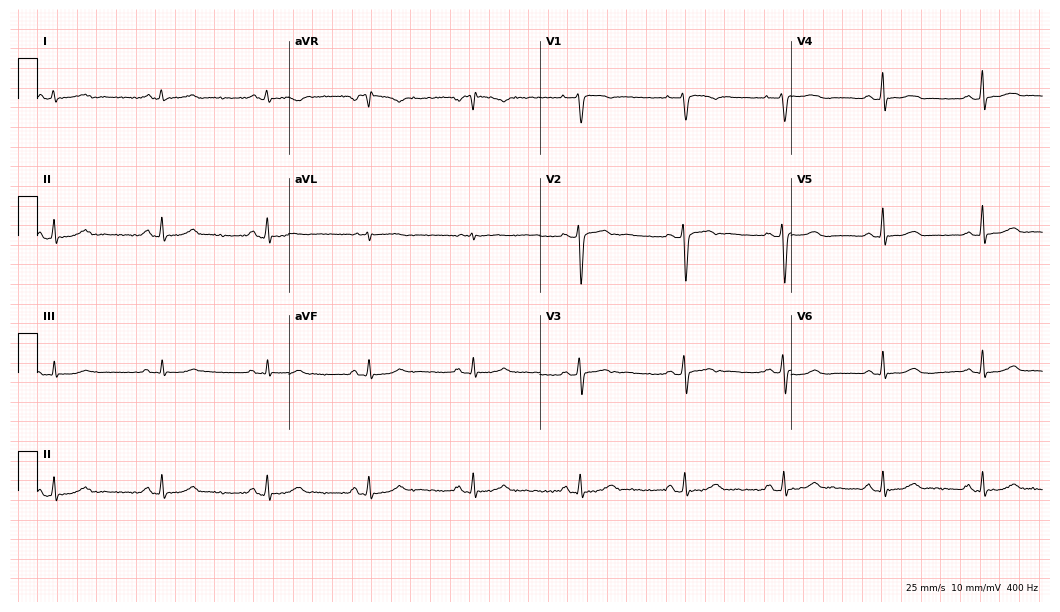
Resting 12-lead electrocardiogram (10.2-second recording at 400 Hz). Patient: a 31-year-old woman. Read as a normal ECG.